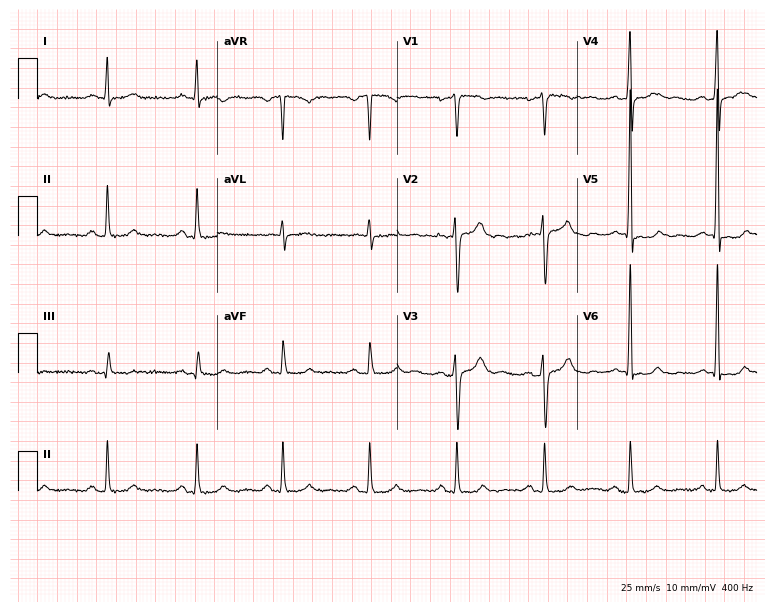
ECG — a man, 46 years old. Screened for six findings — first-degree AV block, right bundle branch block (RBBB), left bundle branch block (LBBB), sinus bradycardia, atrial fibrillation (AF), sinus tachycardia — none is recorded. Findings outside these six are not listed.